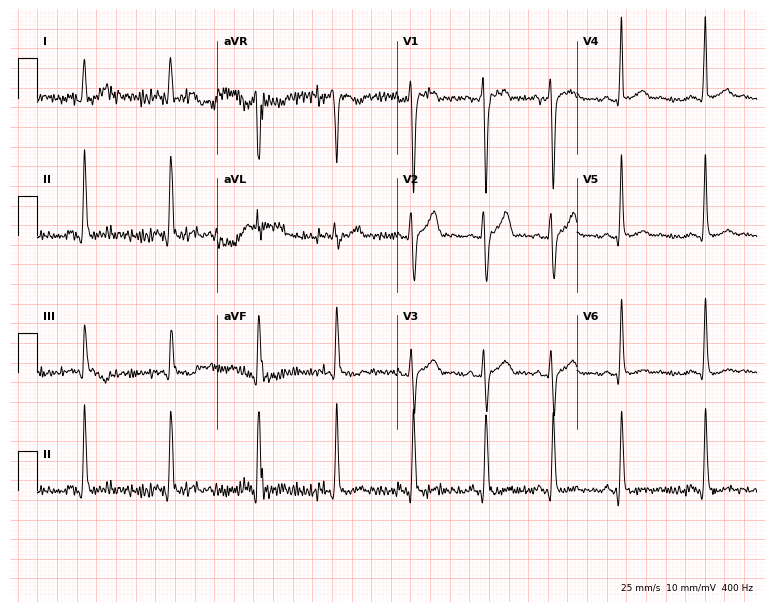
Electrocardiogram, a male, 28 years old. Of the six screened findings (first-degree AV block, right bundle branch block (RBBB), left bundle branch block (LBBB), sinus bradycardia, atrial fibrillation (AF), sinus tachycardia), none is recorded. Findings outside these six are not listed.